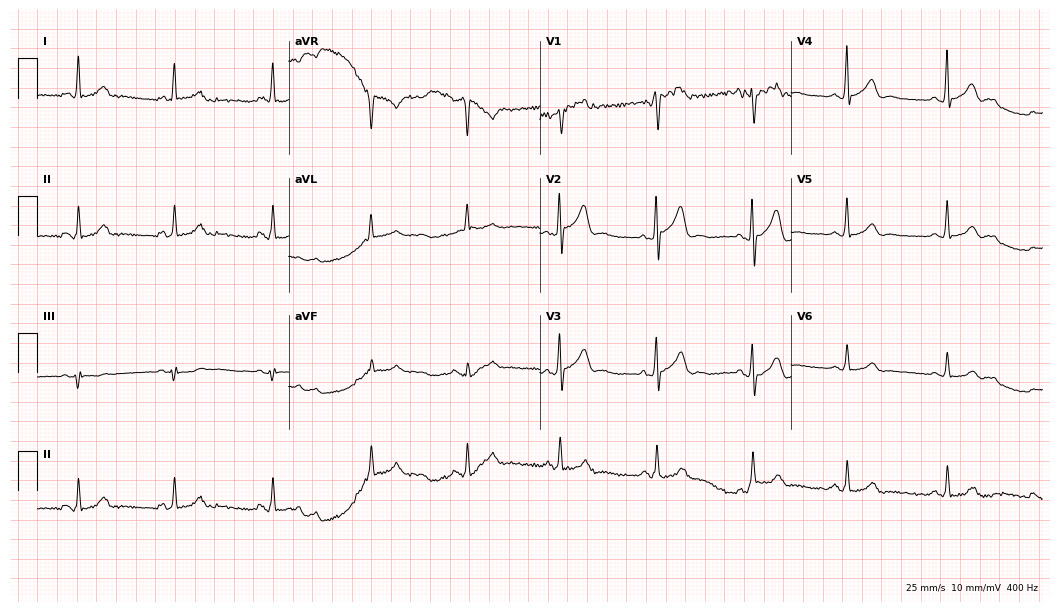
Electrocardiogram (10.2-second recording at 400 Hz), a 36-year-old man. Overall reading on record: normal ECG.